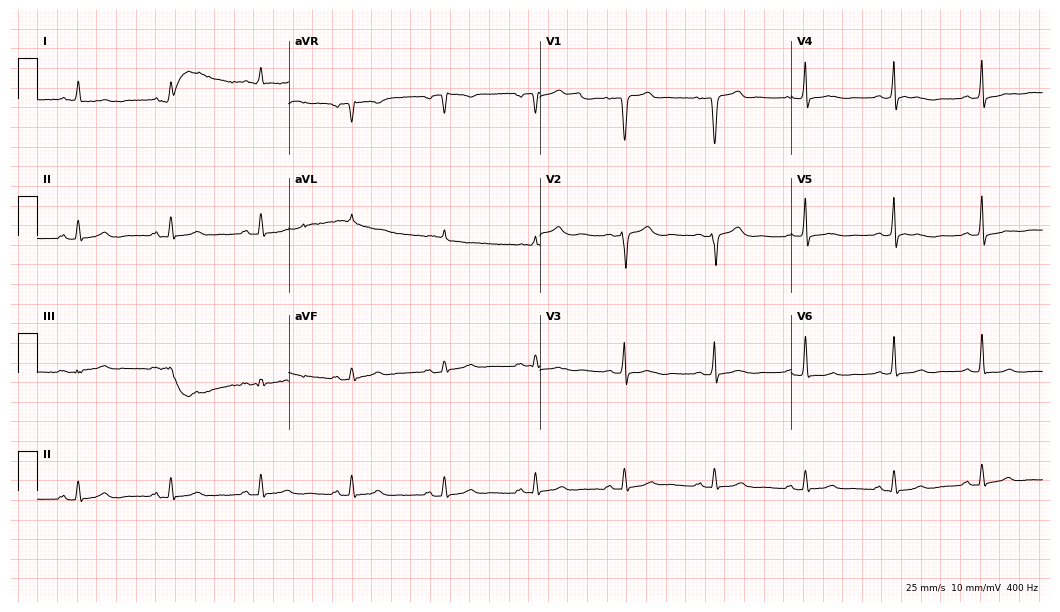
Standard 12-lead ECG recorded from a 62-year-old man (10.2-second recording at 400 Hz). None of these six findings is recorded: first-degree AV block, right bundle branch block, left bundle branch block, sinus bradycardia, atrial fibrillation, sinus tachycardia. Findings outside these six are not listed.